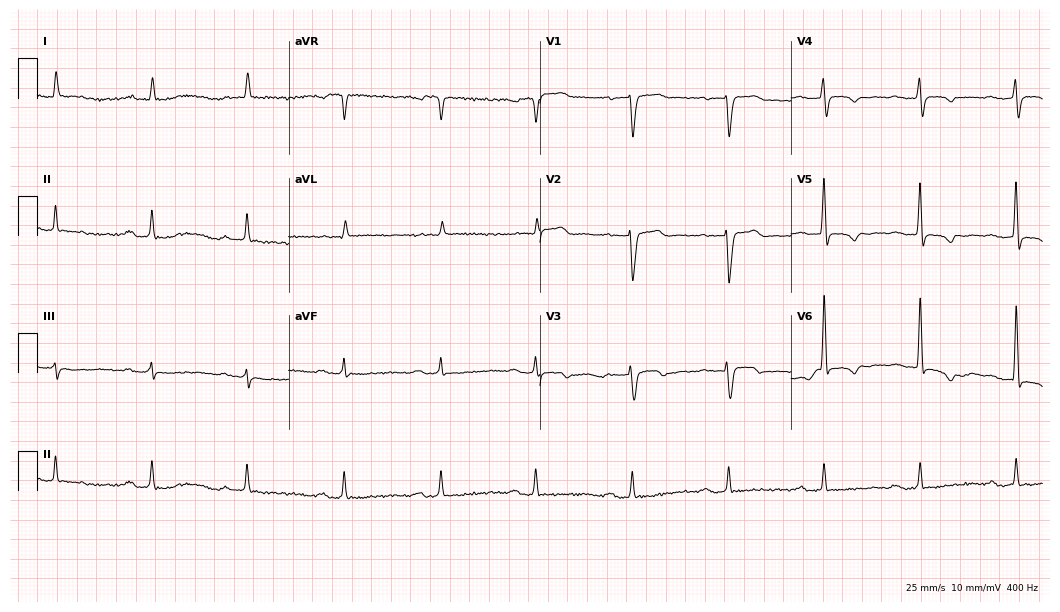
ECG (10.2-second recording at 400 Hz) — an 84-year-old man. Findings include first-degree AV block.